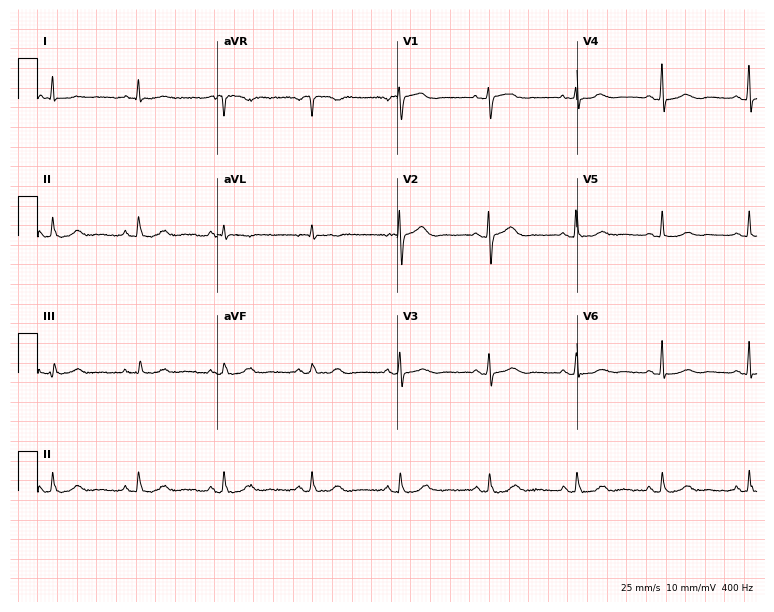
Standard 12-lead ECG recorded from a female, 61 years old. Read as a normal ECG.